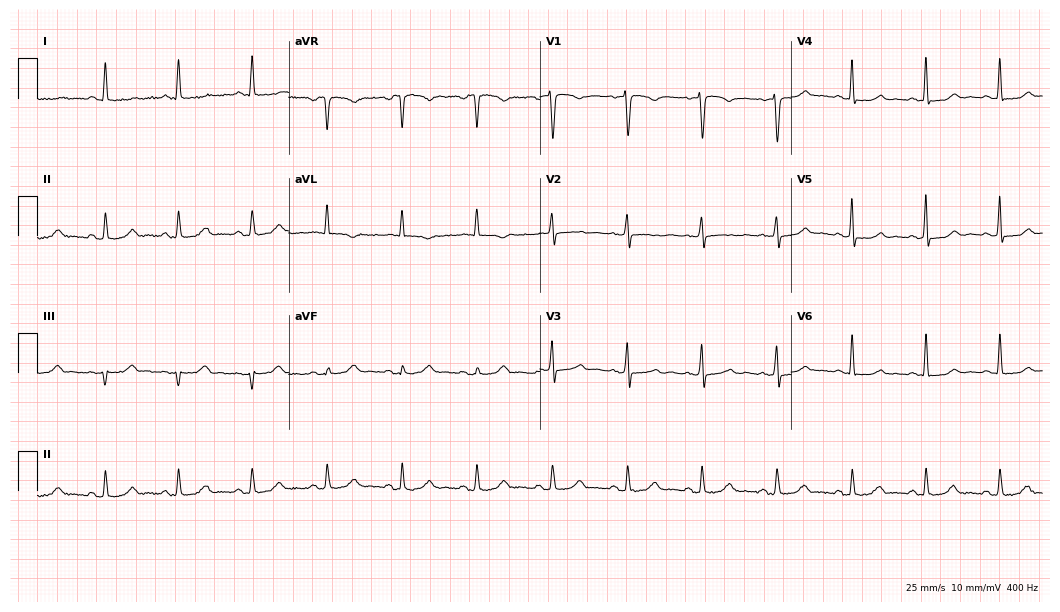
12-lead ECG from a 69-year-old woman. No first-degree AV block, right bundle branch block, left bundle branch block, sinus bradycardia, atrial fibrillation or sinus tachycardia recorded for this tracing.